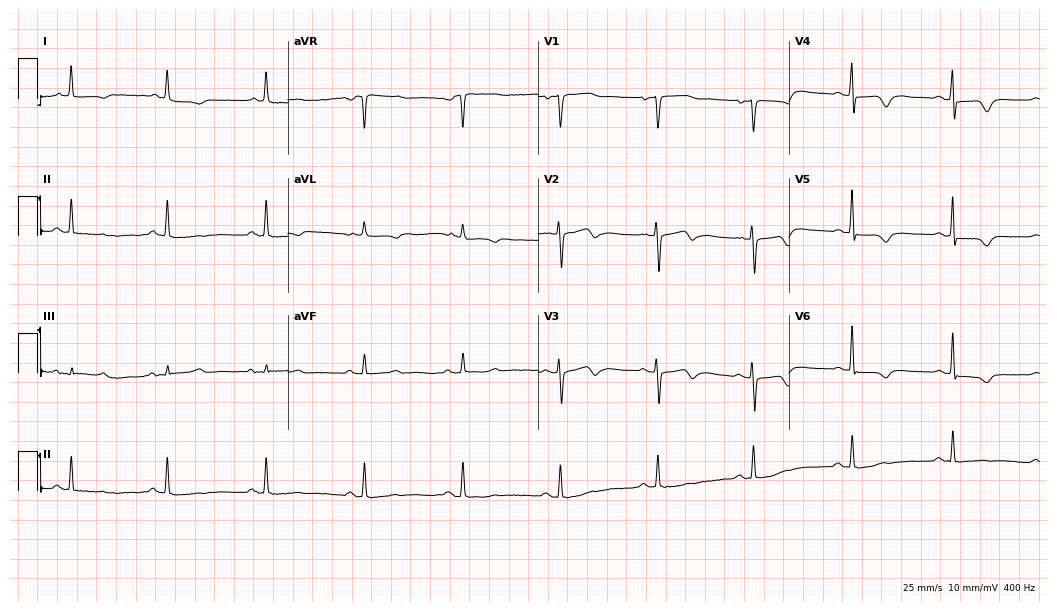
Electrocardiogram (10.2-second recording at 400 Hz), a male patient, 22 years old. Of the six screened findings (first-degree AV block, right bundle branch block, left bundle branch block, sinus bradycardia, atrial fibrillation, sinus tachycardia), none is recorded. Findings outside these six are not listed.